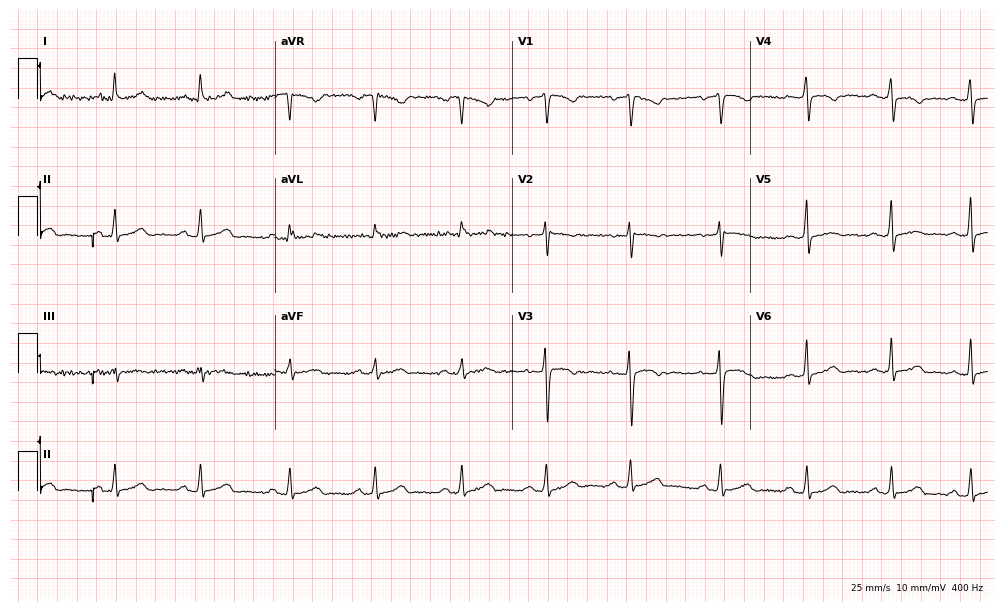
12-lead ECG (9.7-second recording at 400 Hz) from a female patient, 37 years old. Screened for six findings — first-degree AV block, right bundle branch block, left bundle branch block, sinus bradycardia, atrial fibrillation, sinus tachycardia — none is recorded. Only these six findings were labelled.